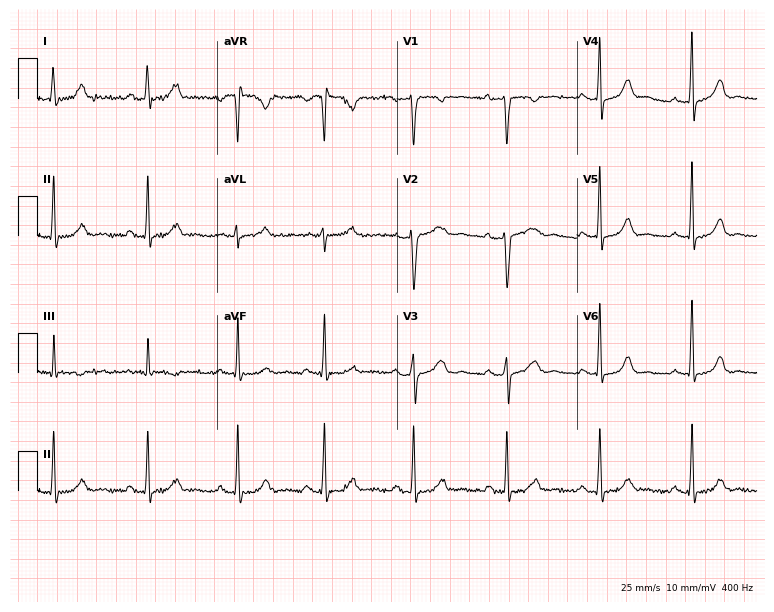
Standard 12-lead ECG recorded from a 34-year-old female patient. Read as a normal ECG.